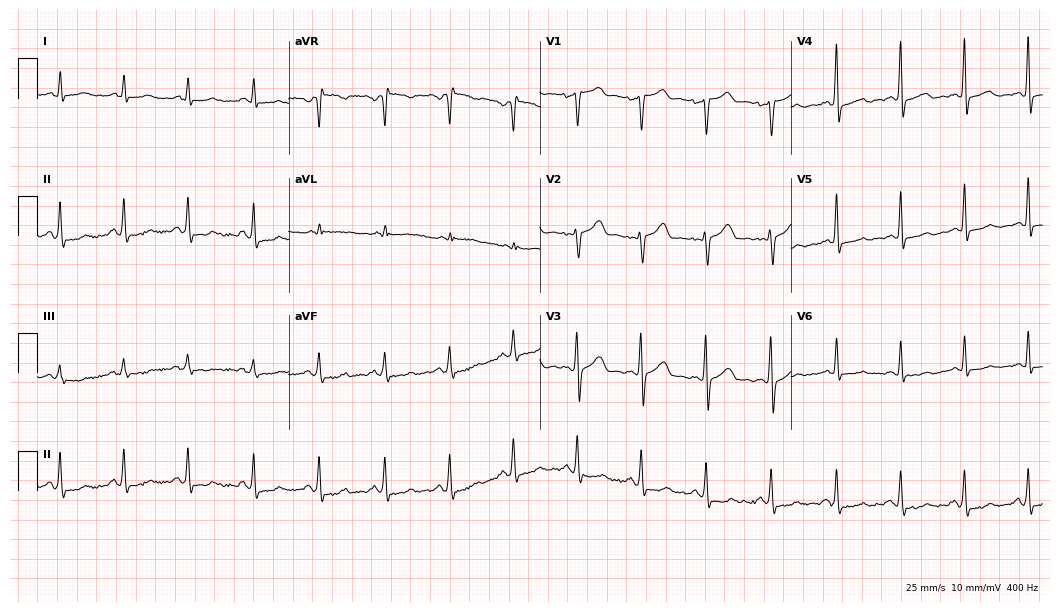
Electrocardiogram, a 47-year-old male. Overall reading on record: normal ECG.